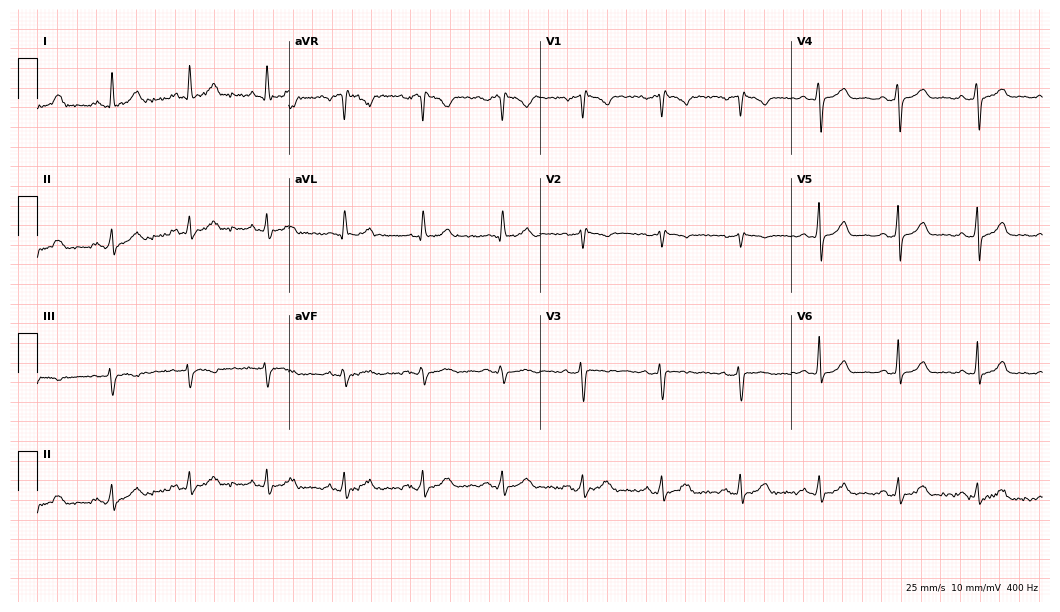
12-lead ECG (10.2-second recording at 400 Hz) from a 42-year-old female. Screened for six findings — first-degree AV block, right bundle branch block, left bundle branch block, sinus bradycardia, atrial fibrillation, sinus tachycardia — none is recorded. Only these six findings were labelled.